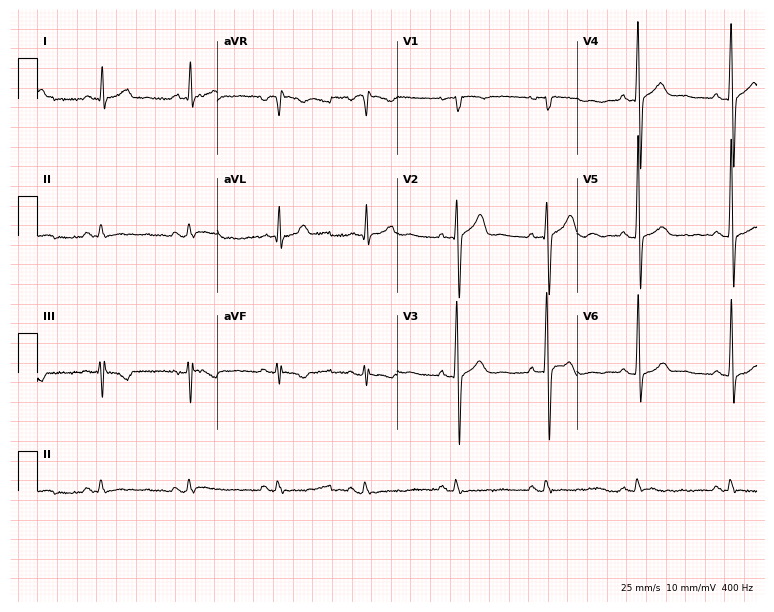
Electrocardiogram, a male, 52 years old. Of the six screened findings (first-degree AV block, right bundle branch block, left bundle branch block, sinus bradycardia, atrial fibrillation, sinus tachycardia), none is recorded. Other findings, if any, are not listed.